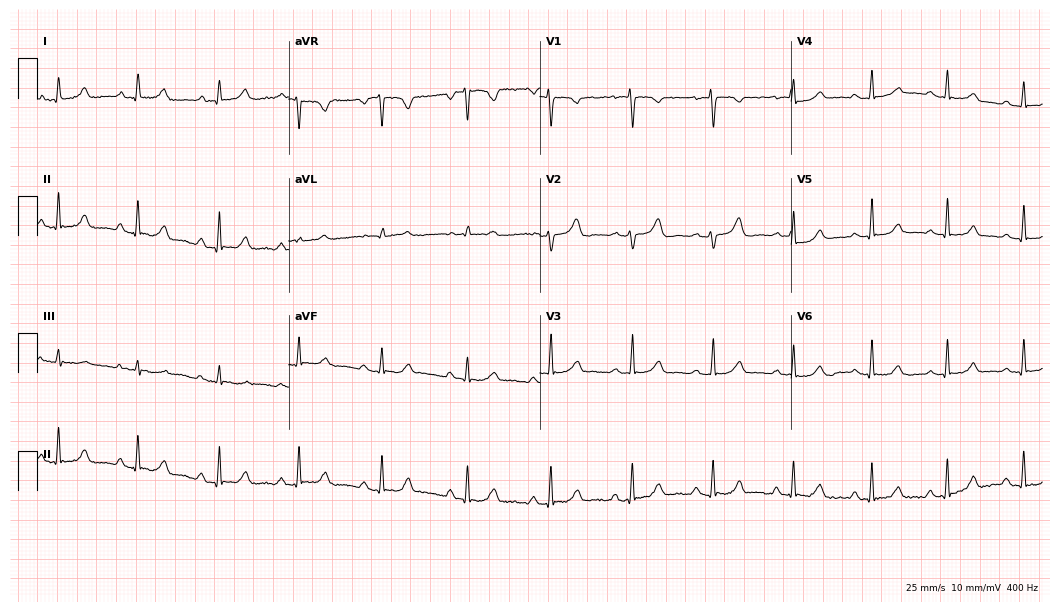
12-lead ECG from a 36-year-old female. Recorded interpretation: within normal limits.